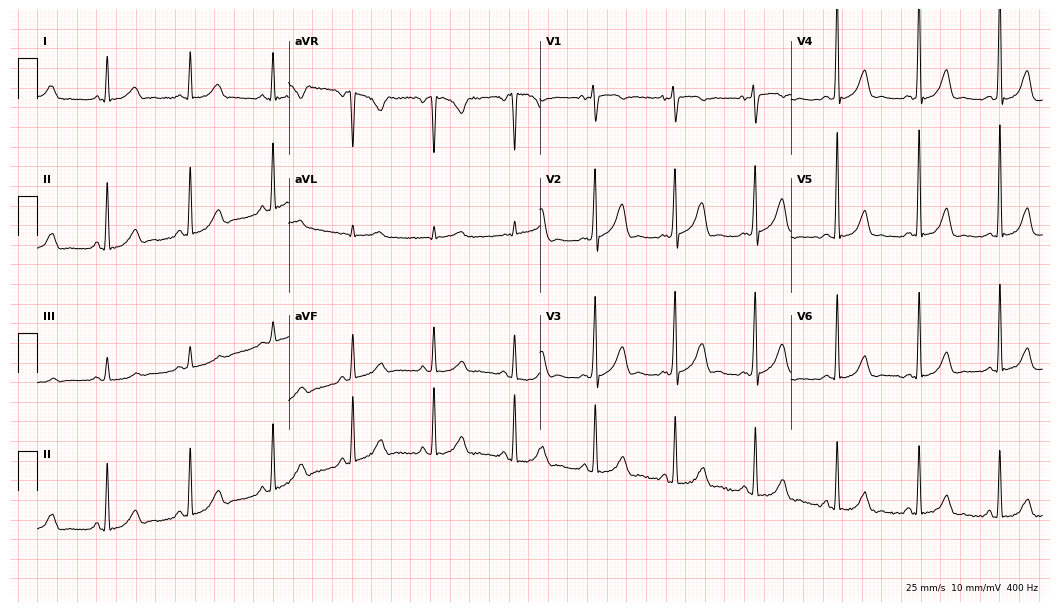
12-lead ECG from a 59-year-old female. Recorded interpretation: within normal limits.